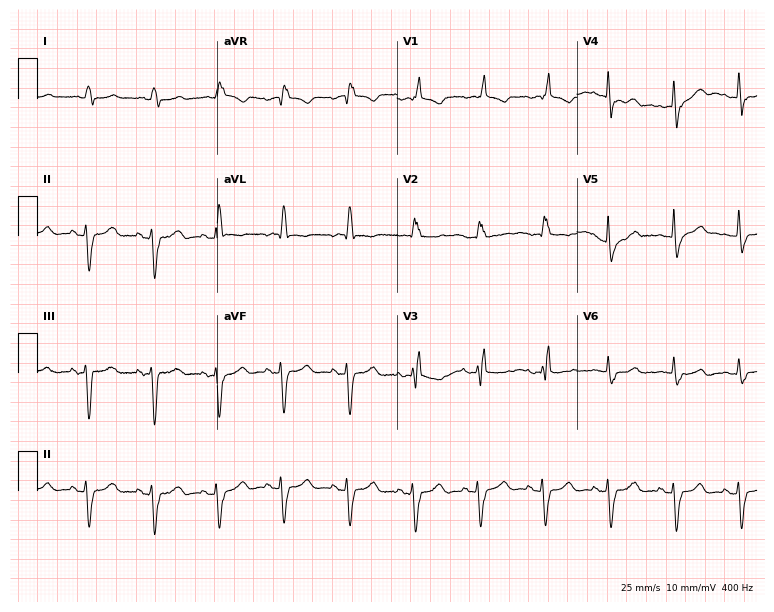
Resting 12-lead electrocardiogram (7.3-second recording at 400 Hz). Patient: a woman, 81 years old. None of these six findings is recorded: first-degree AV block, right bundle branch block (RBBB), left bundle branch block (LBBB), sinus bradycardia, atrial fibrillation (AF), sinus tachycardia. Only these six findings were labelled.